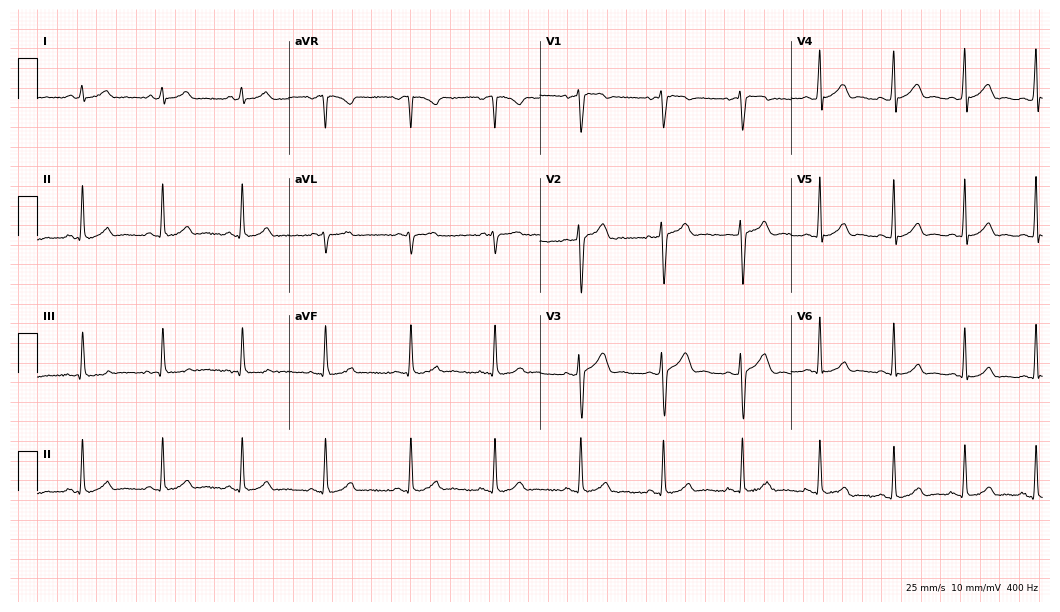
Standard 12-lead ECG recorded from a male, 36 years old. Read as a normal ECG.